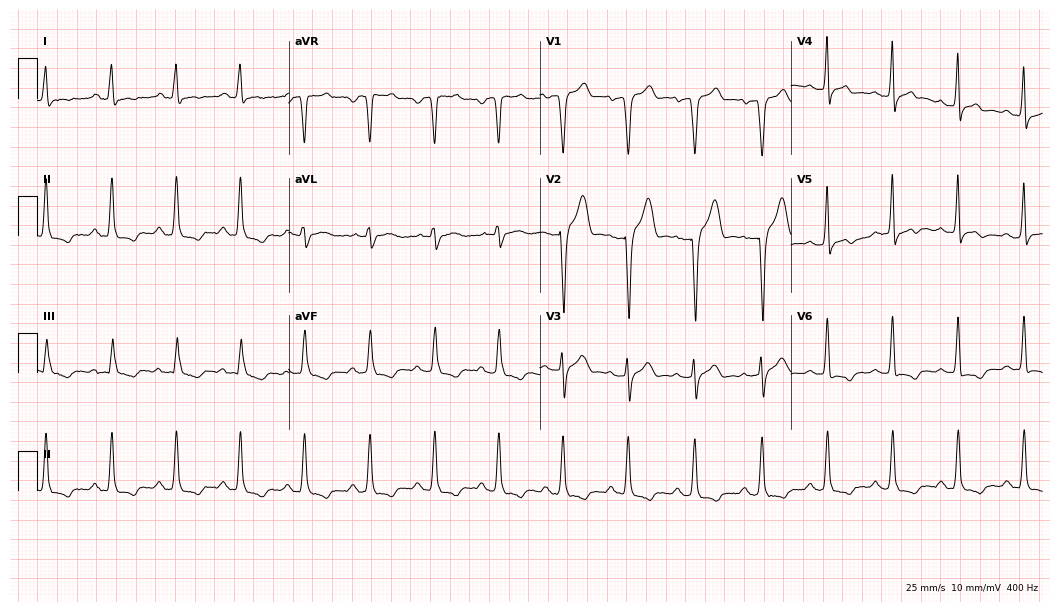
Standard 12-lead ECG recorded from a 42-year-old man. None of these six findings is recorded: first-degree AV block, right bundle branch block, left bundle branch block, sinus bradycardia, atrial fibrillation, sinus tachycardia.